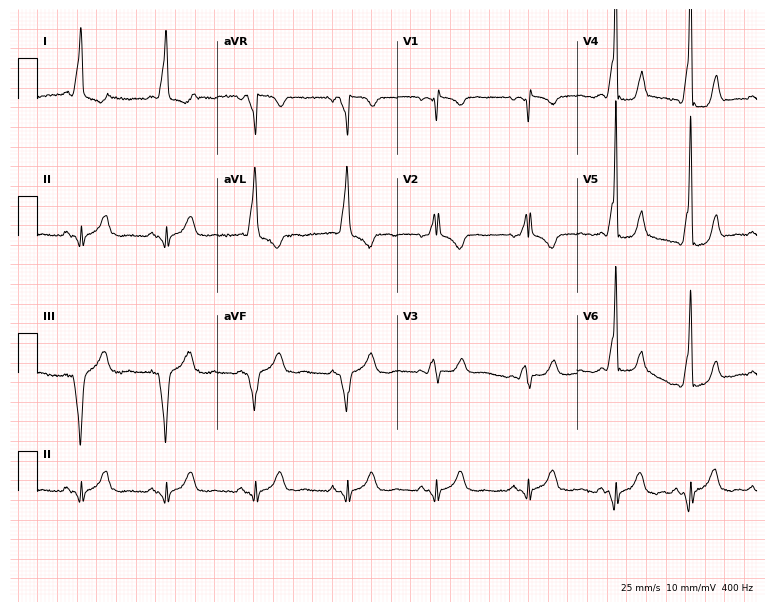
12-lead ECG from a female patient, 39 years old. No first-degree AV block, right bundle branch block, left bundle branch block, sinus bradycardia, atrial fibrillation or sinus tachycardia recorded for this tracing. Only these six findings were labelled.